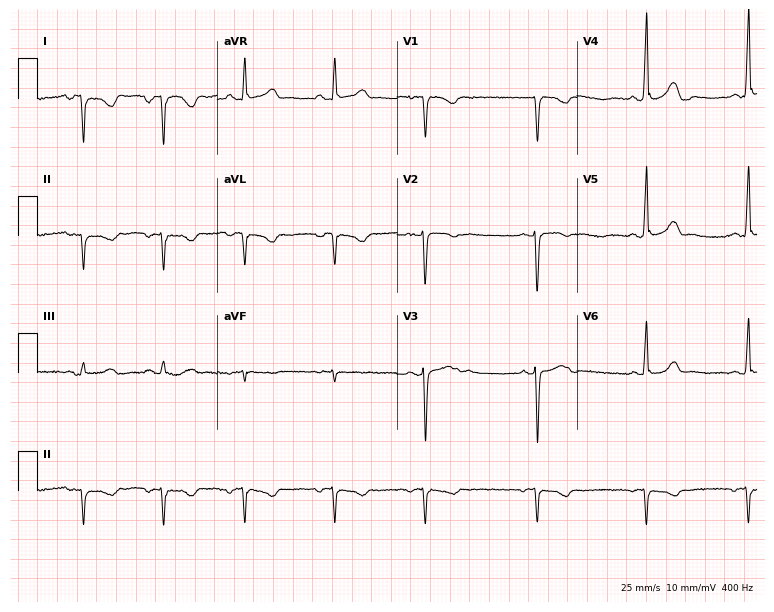
12-lead ECG (7.3-second recording at 400 Hz) from a 22-year-old woman. Screened for six findings — first-degree AV block, right bundle branch block, left bundle branch block, sinus bradycardia, atrial fibrillation, sinus tachycardia — none is recorded.